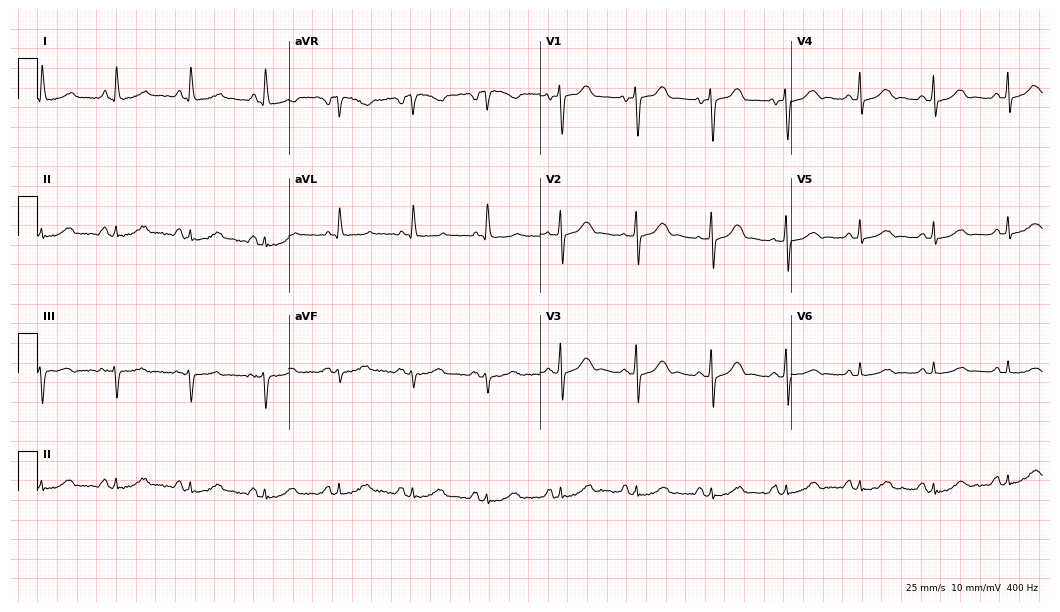
12-lead ECG from a female patient, 81 years old. No first-degree AV block, right bundle branch block, left bundle branch block, sinus bradycardia, atrial fibrillation or sinus tachycardia recorded for this tracing.